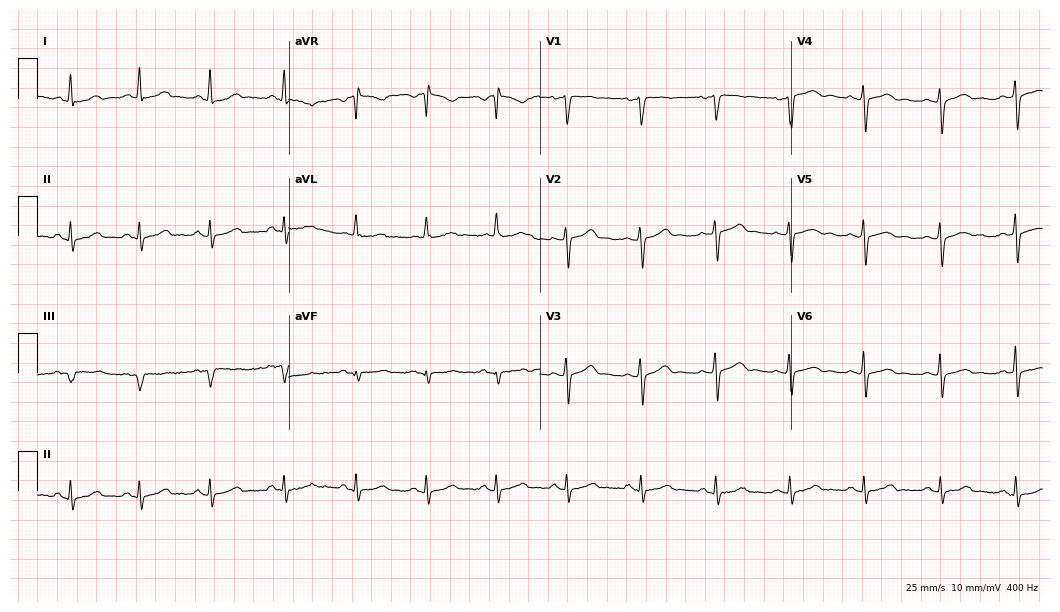
12-lead ECG from a 47-year-old female patient. Labelled as a normal ECG.